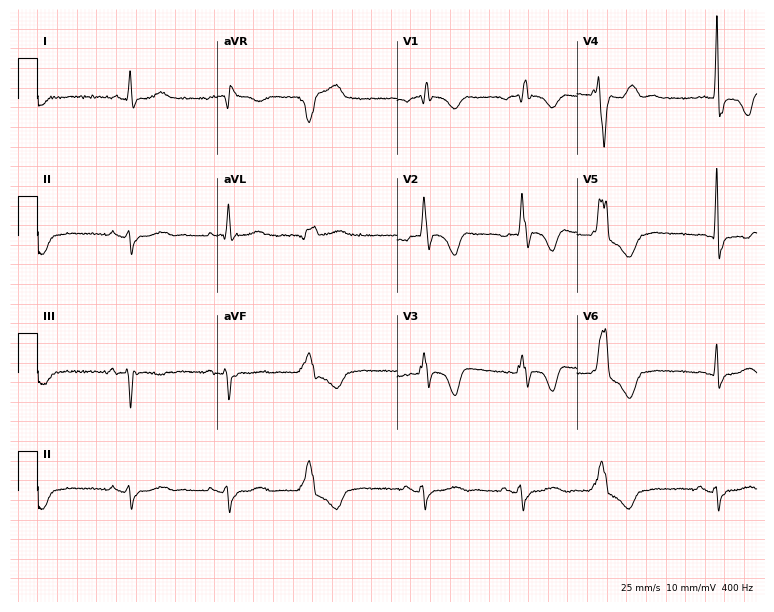
ECG (7.3-second recording at 400 Hz) — a 58-year-old male patient. Screened for six findings — first-degree AV block, right bundle branch block, left bundle branch block, sinus bradycardia, atrial fibrillation, sinus tachycardia — none is recorded.